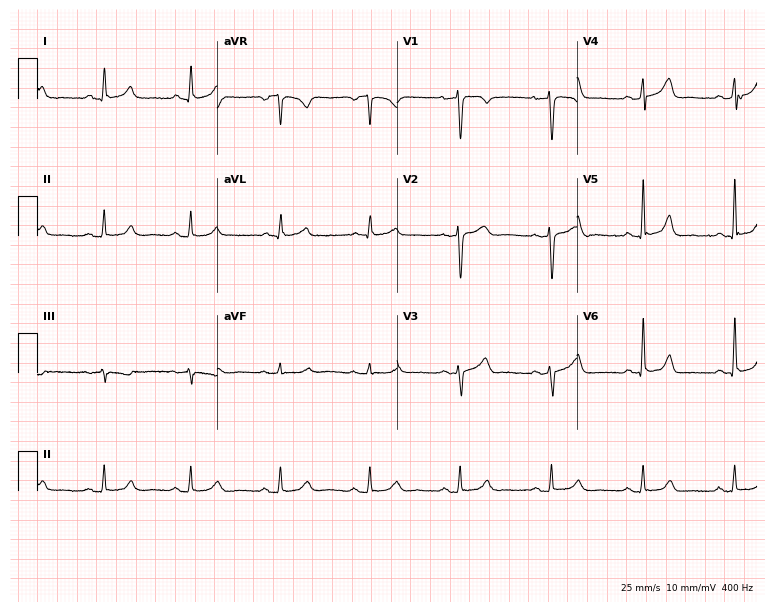
ECG — a female, 49 years old. Labelled as a normal ECG.